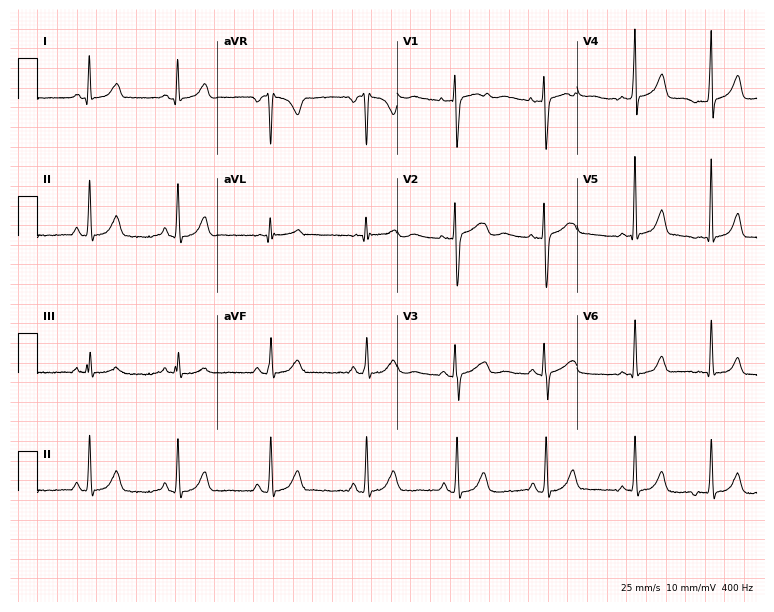
Standard 12-lead ECG recorded from a female, 29 years old. Read as a normal ECG.